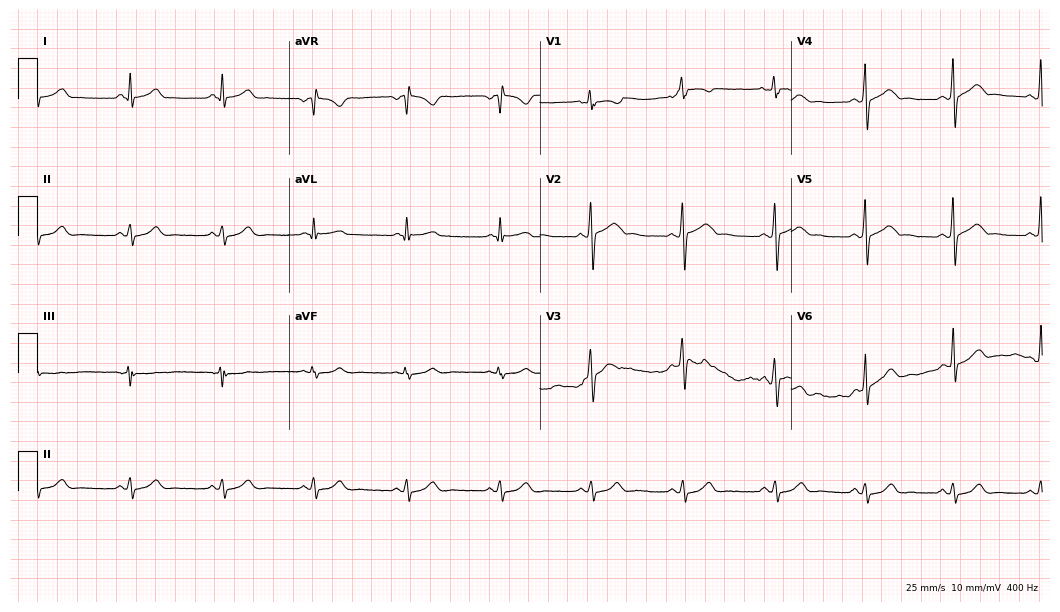
Resting 12-lead electrocardiogram (10.2-second recording at 400 Hz). Patient: a male, 39 years old. Read as a normal ECG.